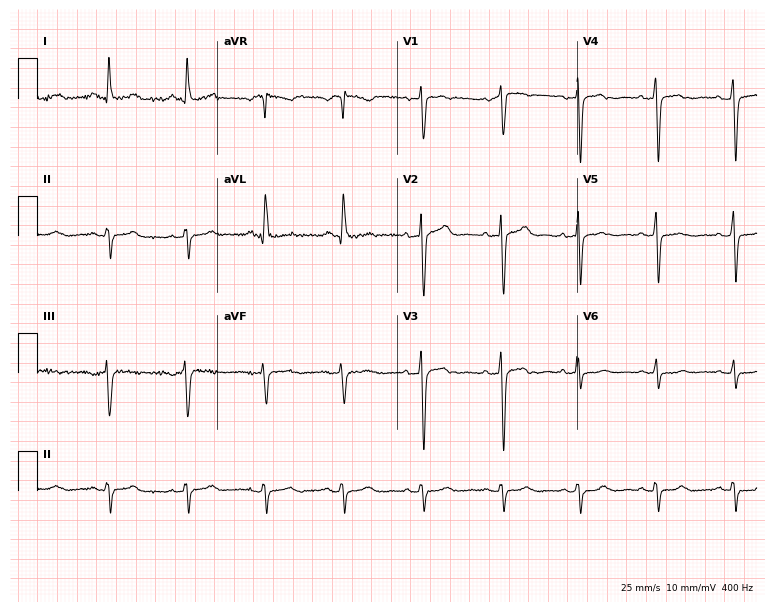
12-lead ECG (7.3-second recording at 400 Hz) from a 59-year-old female. Screened for six findings — first-degree AV block, right bundle branch block (RBBB), left bundle branch block (LBBB), sinus bradycardia, atrial fibrillation (AF), sinus tachycardia — none is recorded.